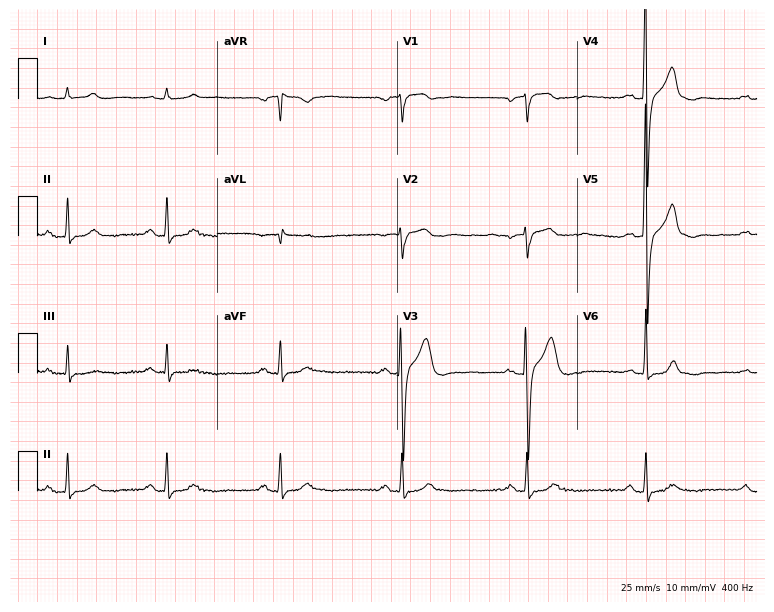
Standard 12-lead ECG recorded from a male patient, 74 years old (7.3-second recording at 400 Hz). The tracing shows first-degree AV block.